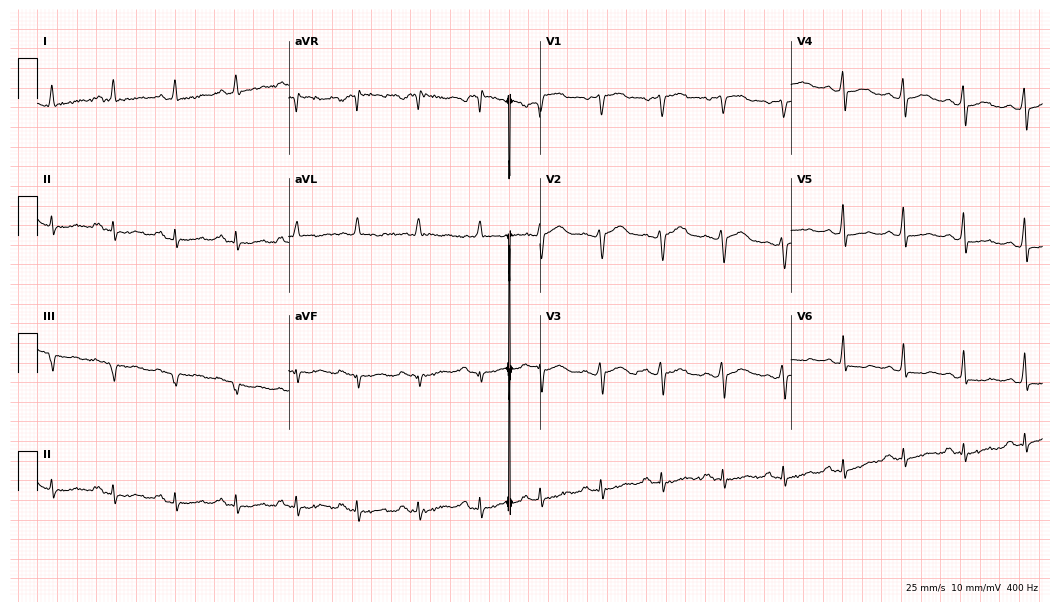
12-lead ECG from a male patient, 82 years old (10.2-second recording at 400 Hz). No first-degree AV block, right bundle branch block (RBBB), left bundle branch block (LBBB), sinus bradycardia, atrial fibrillation (AF) or sinus tachycardia recorded for this tracing. Findings outside these six are not listed.